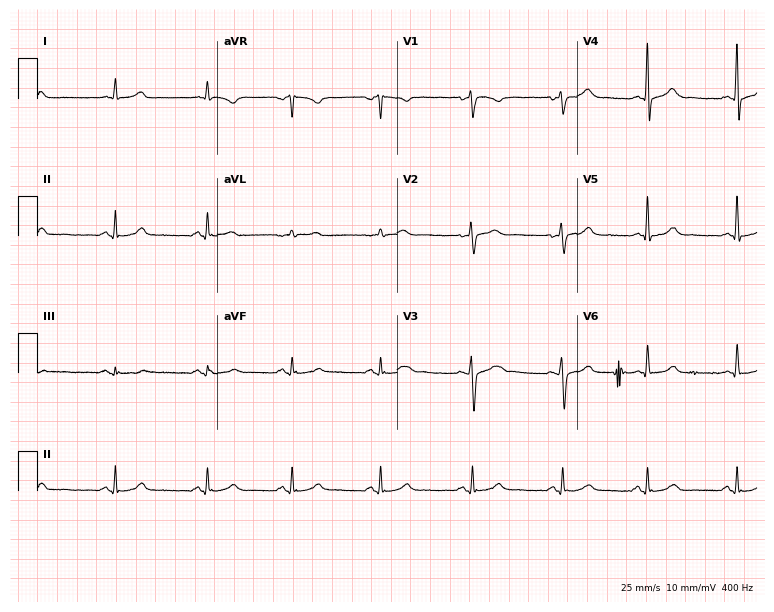
Standard 12-lead ECG recorded from a 39-year-old female patient. Read as a normal ECG.